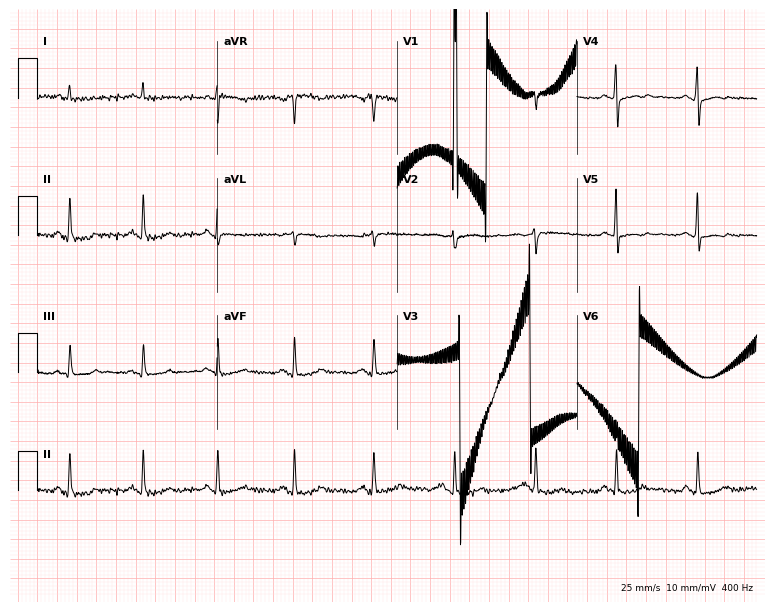
Standard 12-lead ECG recorded from a 53-year-old woman. None of these six findings is recorded: first-degree AV block, right bundle branch block, left bundle branch block, sinus bradycardia, atrial fibrillation, sinus tachycardia.